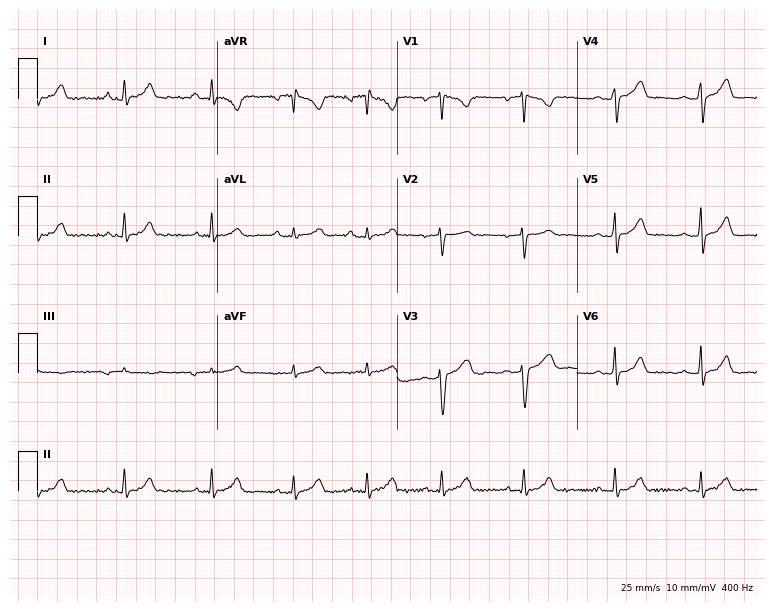
Electrocardiogram, a 28-year-old female. Of the six screened findings (first-degree AV block, right bundle branch block, left bundle branch block, sinus bradycardia, atrial fibrillation, sinus tachycardia), none is recorded. Only these six findings were labelled.